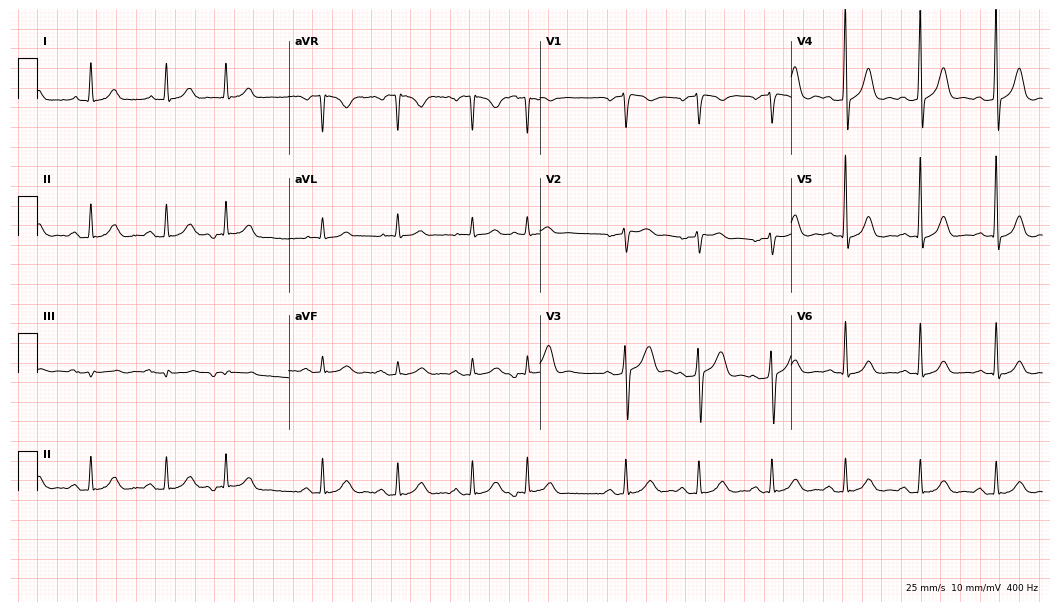
Electrocardiogram (10.2-second recording at 400 Hz), a 64-year-old male patient. Overall reading on record: normal ECG.